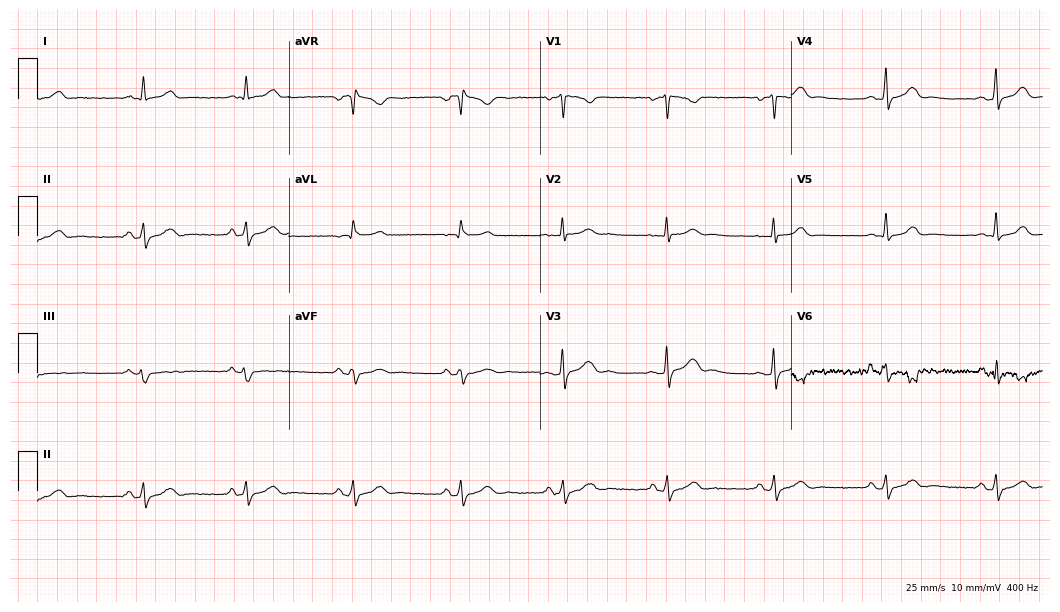
ECG (10.2-second recording at 400 Hz) — a 37-year-old woman. Screened for six findings — first-degree AV block, right bundle branch block, left bundle branch block, sinus bradycardia, atrial fibrillation, sinus tachycardia — none is recorded. Findings outside these six are not listed.